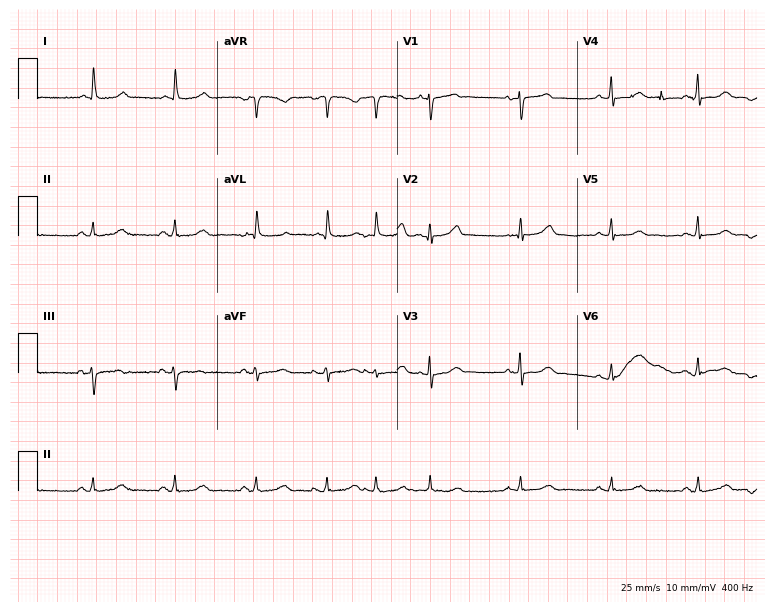
Standard 12-lead ECG recorded from a 79-year-old female. None of these six findings is recorded: first-degree AV block, right bundle branch block, left bundle branch block, sinus bradycardia, atrial fibrillation, sinus tachycardia. Findings outside these six are not listed.